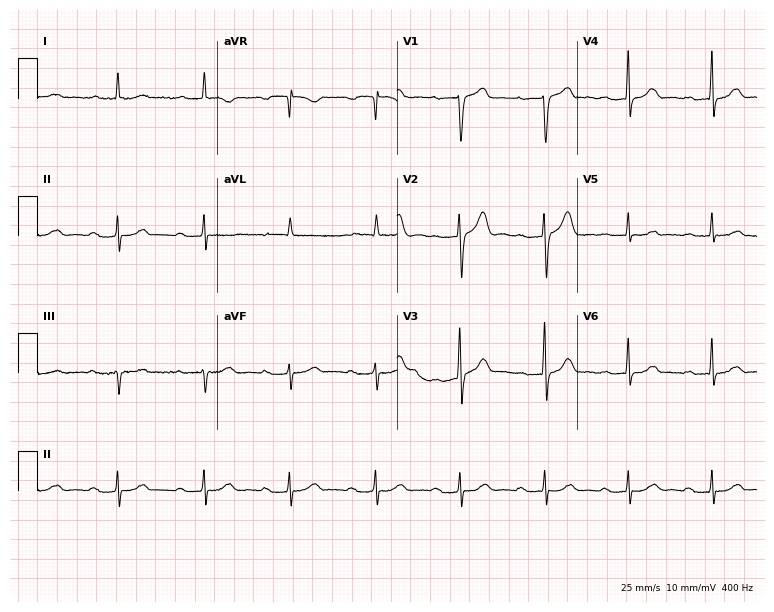
12-lead ECG from a male patient, 79 years old. Shows first-degree AV block.